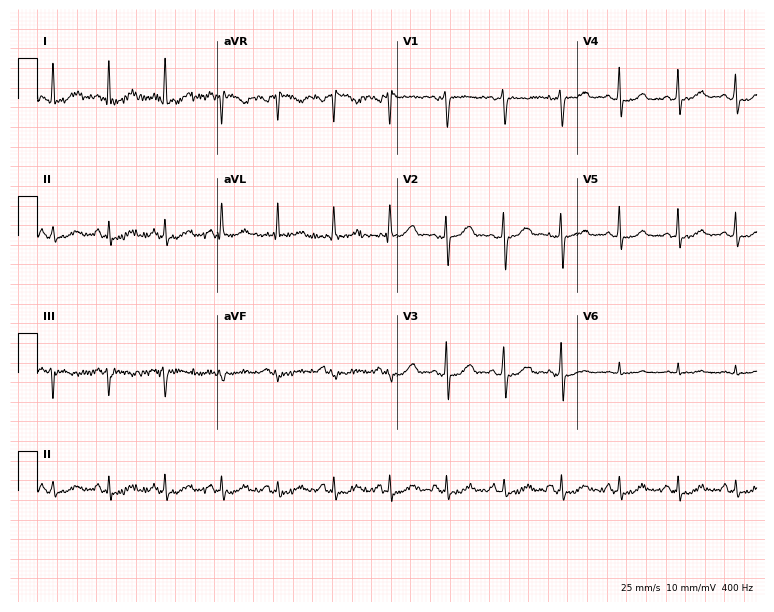
Standard 12-lead ECG recorded from a 44-year-old female patient. The tracing shows sinus tachycardia (a sinus rate of 100 beats per minute or more).